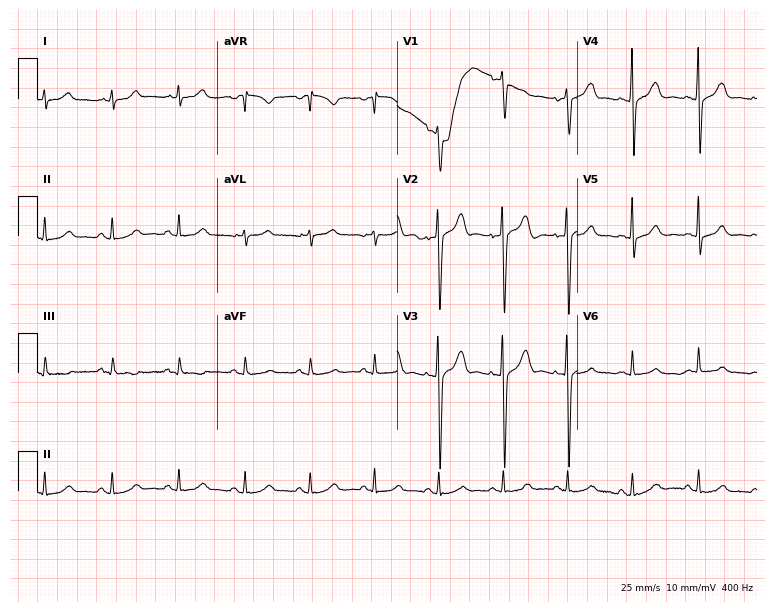
ECG — a male, 39 years old. Screened for six findings — first-degree AV block, right bundle branch block (RBBB), left bundle branch block (LBBB), sinus bradycardia, atrial fibrillation (AF), sinus tachycardia — none is recorded. Only these six findings were labelled.